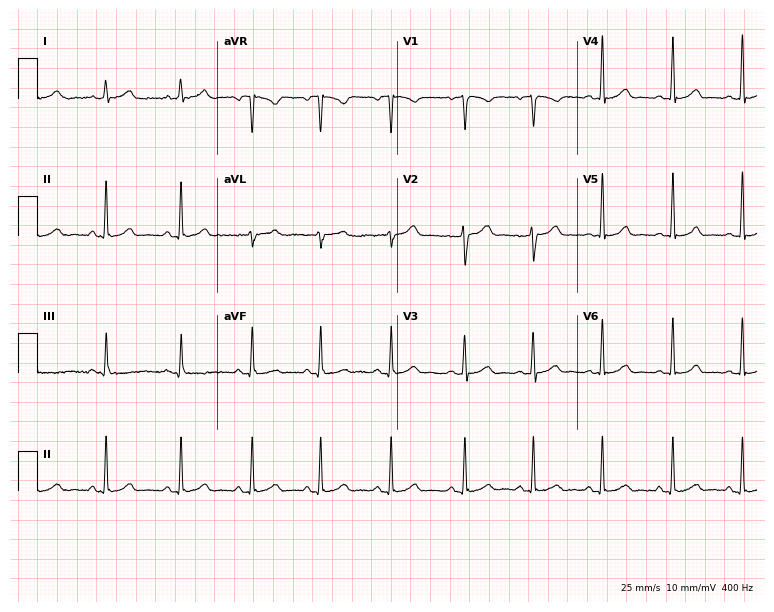
12-lead ECG from a female, 38 years old (7.3-second recording at 400 Hz). Recorded interpretation: within normal limits.